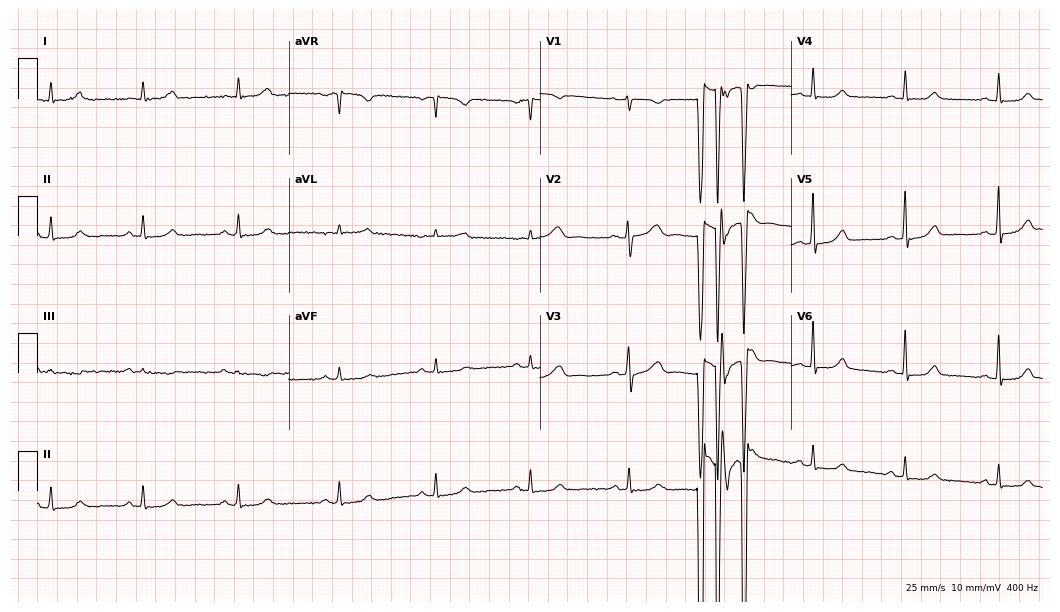
Resting 12-lead electrocardiogram (10.2-second recording at 400 Hz). Patient: a 47-year-old woman. None of these six findings is recorded: first-degree AV block, right bundle branch block (RBBB), left bundle branch block (LBBB), sinus bradycardia, atrial fibrillation (AF), sinus tachycardia. Only these six findings were labelled.